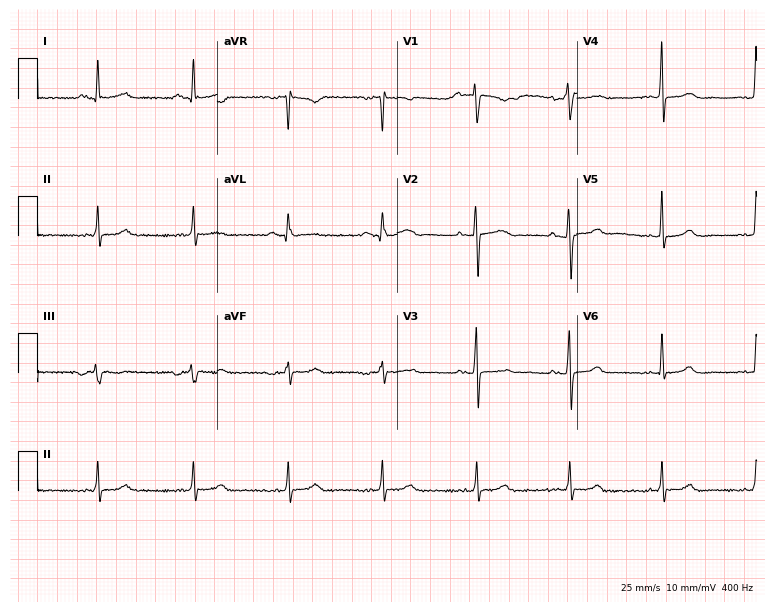
ECG — a female patient, 71 years old. Screened for six findings — first-degree AV block, right bundle branch block, left bundle branch block, sinus bradycardia, atrial fibrillation, sinus tachycardia — none is recorded.